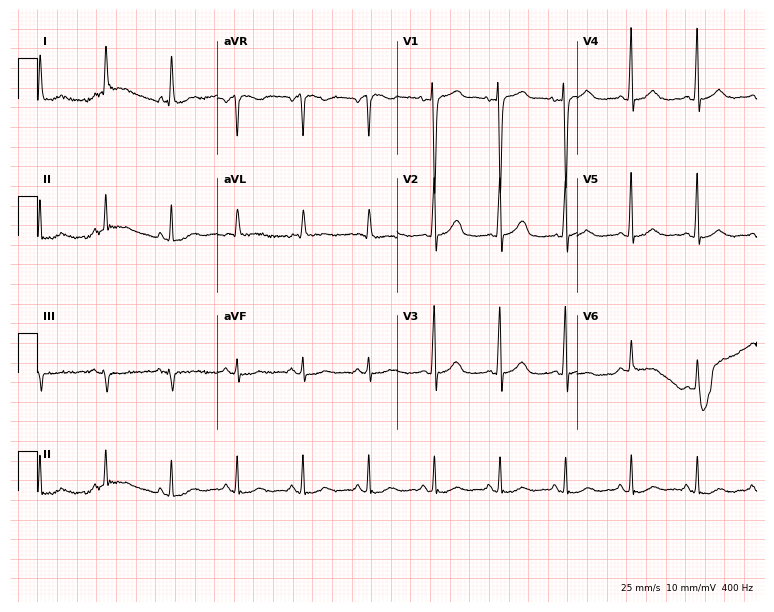
12-lead ECG (7.3-second recording at 400 Hz) from a 74-year-old woman. Labelled as a normal ECG.